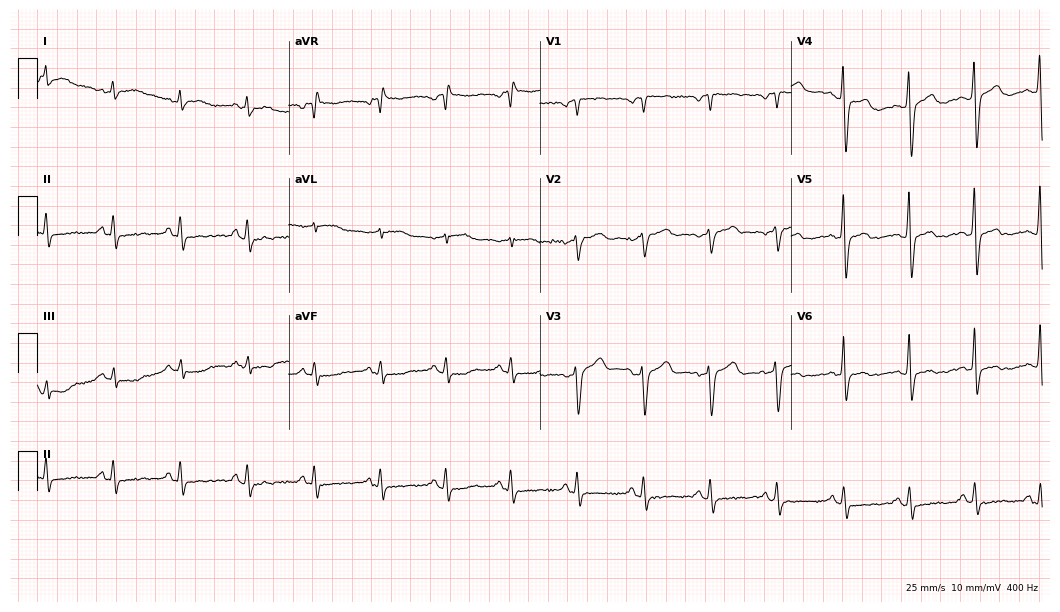
Resting 12-lead electrocardiogram (10.2-second recording at 400 Hz). Patient: a 63-year-old male. None of these six findings is recorded: first-degree AV block, right bundle branch block, left bundle branch block, sinus bradycardia, atrial fibrillation, sinus tachycardia. Findings outside these six are not listed.